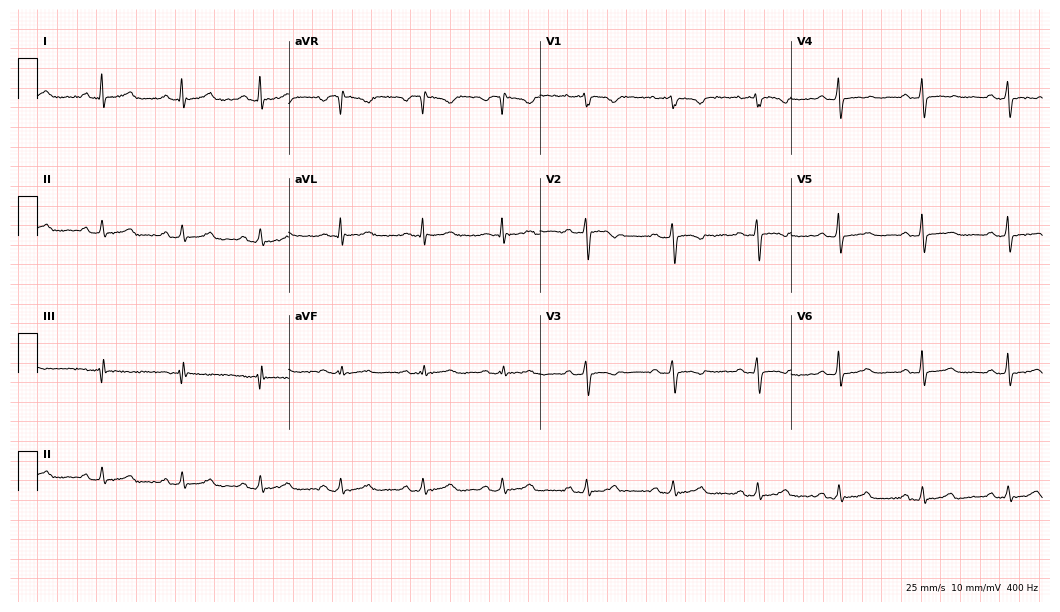
12-lead ECG (10.2-second recording at 400 Hz) from a 47-year-old female patient. Screened for six findings — first-degree AV block, right bundle branch block, left bundle branch block, sinus bradycardia, atrial fibrillation, sinus tachycardia — none is recorded. Other findings, if any, are not listed.